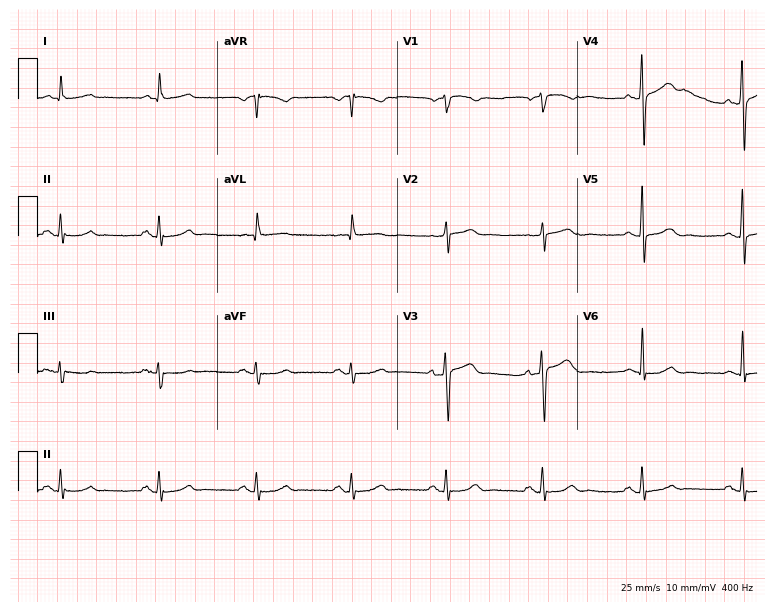
Standard 12-lead ECG recorded from a male, 77 years old (7.3-second recording at 400 Hz). Read as a normal ECG.